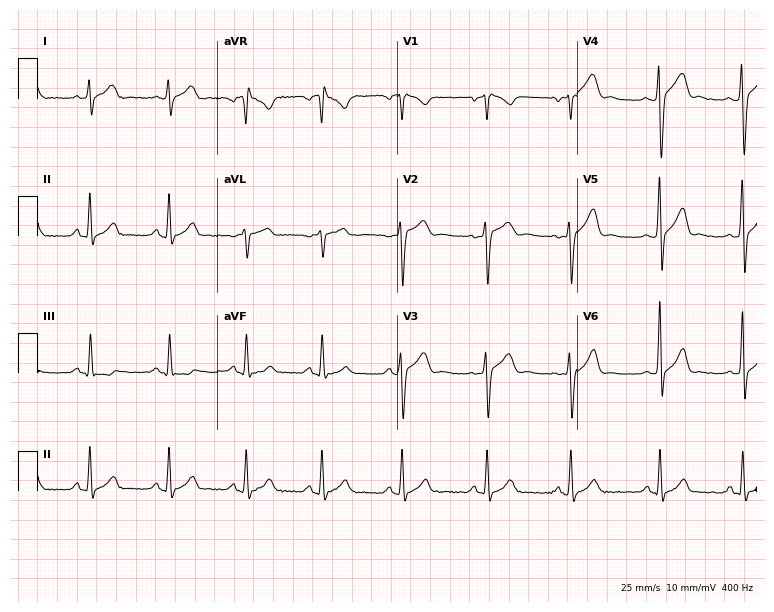
ECG — a male, 23 years old. Screened for six findings — first-degree AV block, right bundle branch block, left bundle branch block, sinus bradycardia, atrial fibrillation, sinus tachycardia — none is recorded.